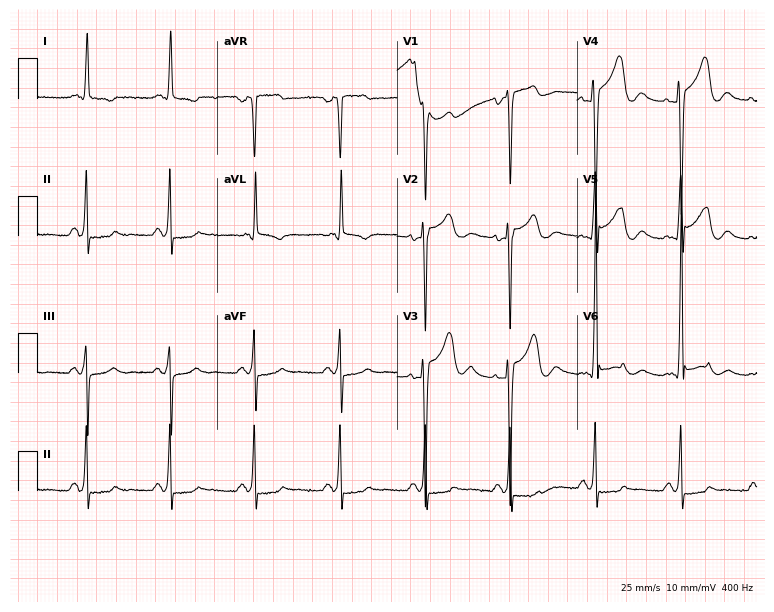
Resting 12-lead electrocardiogram (7.3-second recording at 400 Hz). Patient: a 52-year-old male. None of these six findings is recorded: first-degree AV block, right bundle branch block, left bundle branch block, sinus bradycardia, atrial fibrillation, sinus tachycardia. Findings outside these six are not listed.